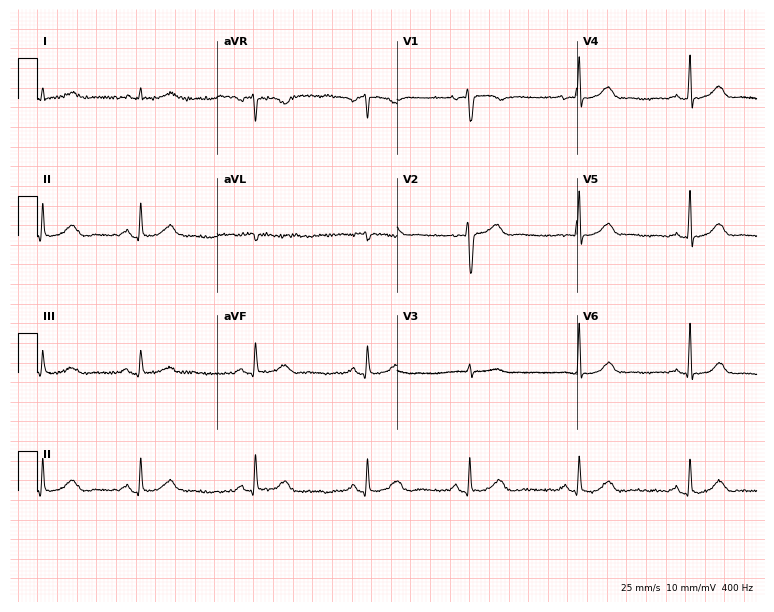
12-lead ECG from a 55-year-old male patient. No first-degree AV block, right bundle branch block (RBBB), left bundle branch block (LBBB), sinus bradycardia, atrial fibrillation (AF) or sinus tachycardia recorded for this tracing.